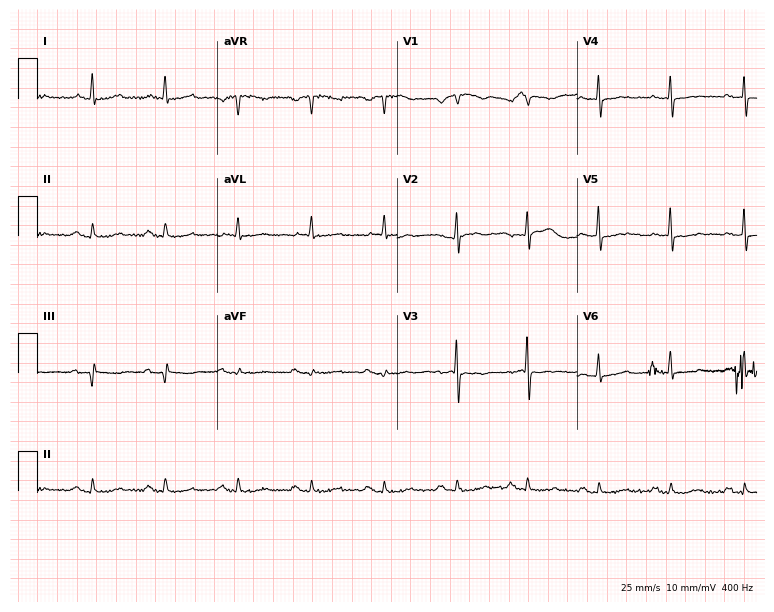
ECG (7.3-second recording at 400 Hz) — a 73-year-old male. Screened for six findings — first-degree AV block, right bundle branch block (RBBB), left bundle branch block (LBBB), sinus bradycardia, atrial fibrillation (AF), sinus tachycardia — none is recorded. Findings outside these six are not listed.